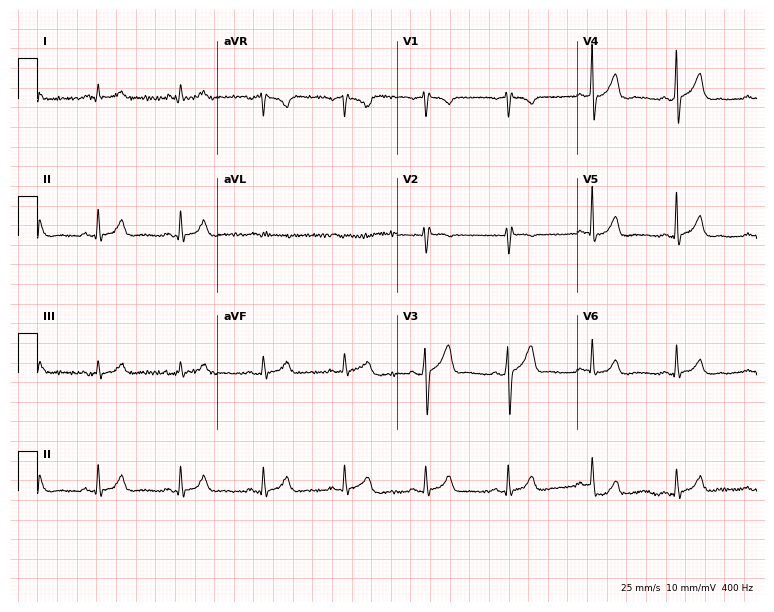
12-lead ECG from a 66-year-old male. Recorded interpretation: within normal limits.